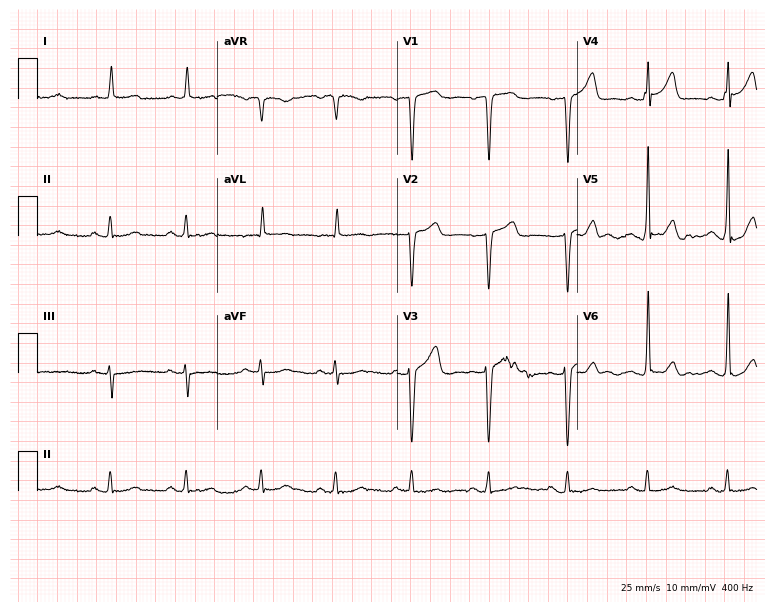
12-lead ECG from a 48-year-old man. Screened for six findings — first-degree AV block, right bundle branch block, left bundle branch block, sinus bradycardia, atrial fibrillation, sinus tachycardia — none is recorded. Only these six findings were labelled.